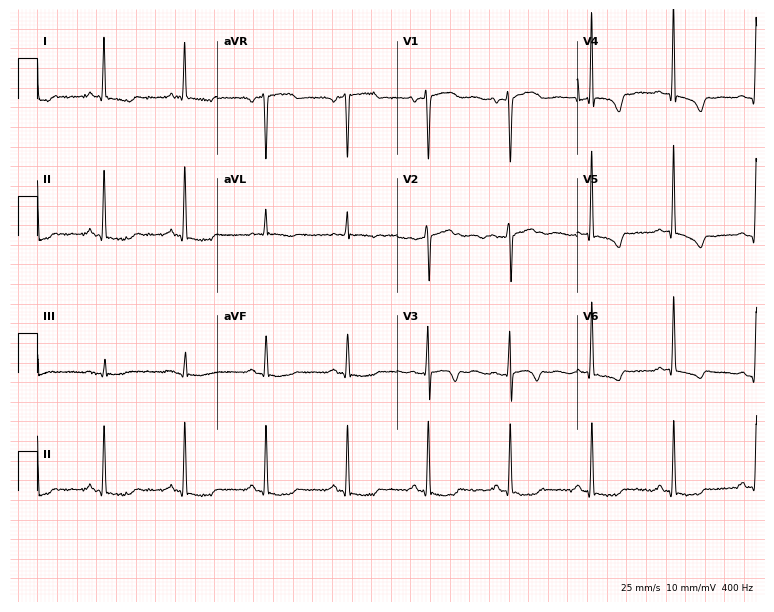
12-lead ECG from a female patient, 52 years old. No first-degree AV block, right bundle branch block (RBBB), left bundle branch block (LBBB), sinus bradycardia, atrial fibrillation (AF) or sinus tachycardia recorded for this tracing. Findings outside these six are not listed.